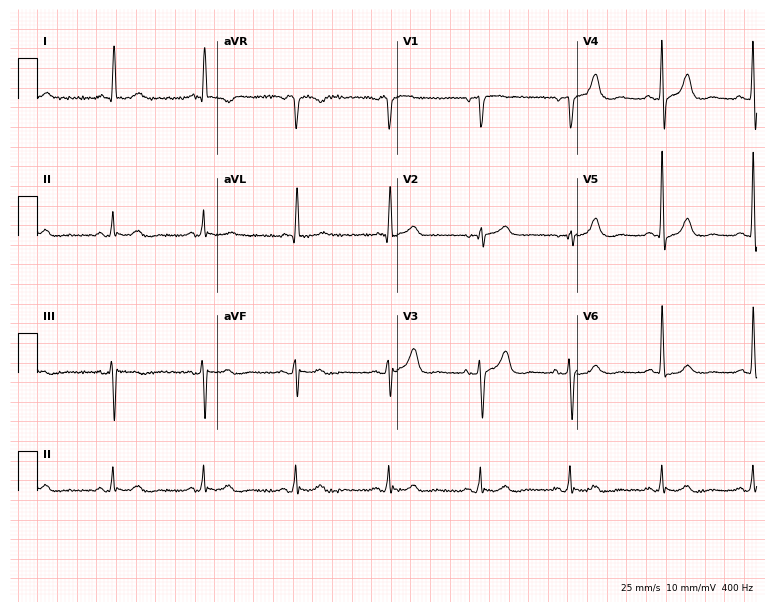
ECG — a woman, 83 years old. Labelled as a normal ECG.